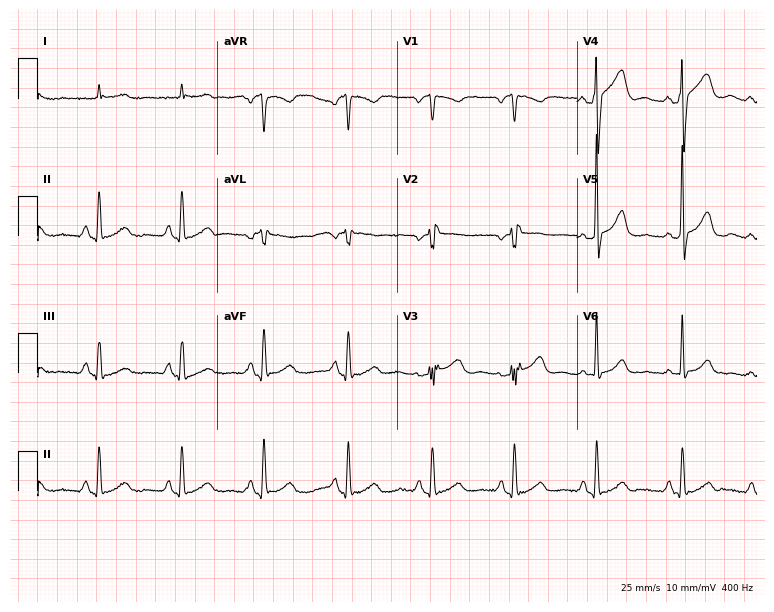
12-lead ECG (7.3-second recording at 400 Hz) from a female, 83 years old. Screened for six findings — first-degree AV block, right bundle branch block (RBBB), left bundle branch block (LBBB), sinus bradycardia, atrial fibrillation (AF), sinus tachycardia — none is recorded. Findings outside these six are not listed.